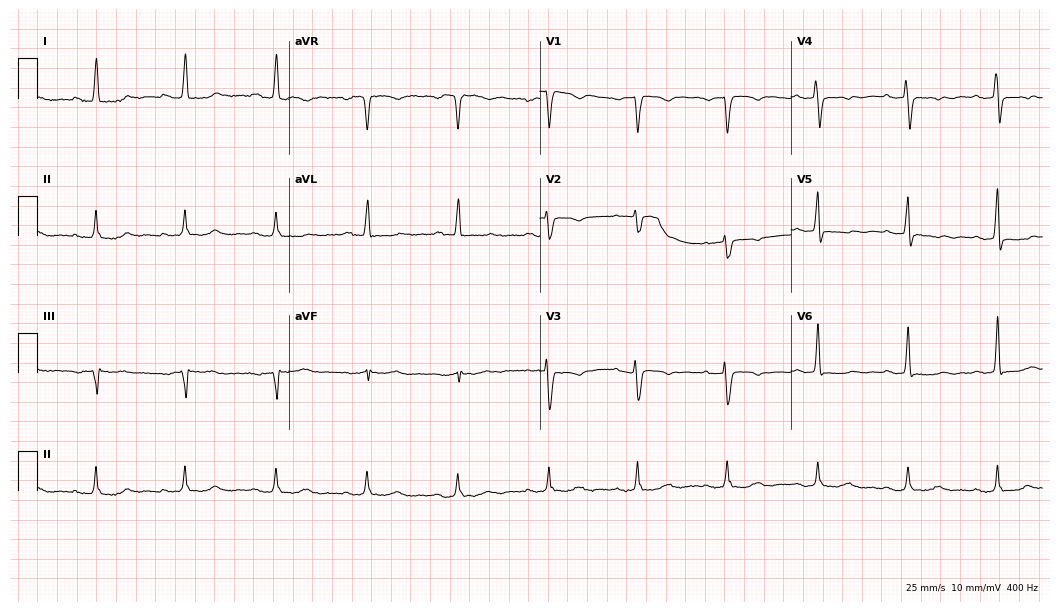
12-lead ECG from a 68-year-old woman. Screened for six findings — first-degree AV block, right bundle branch block, left bundle branch block, sinus bradycardia, atrial fibrillation, sinus tachycardia — none is recorded. Only these six findings were labelled.